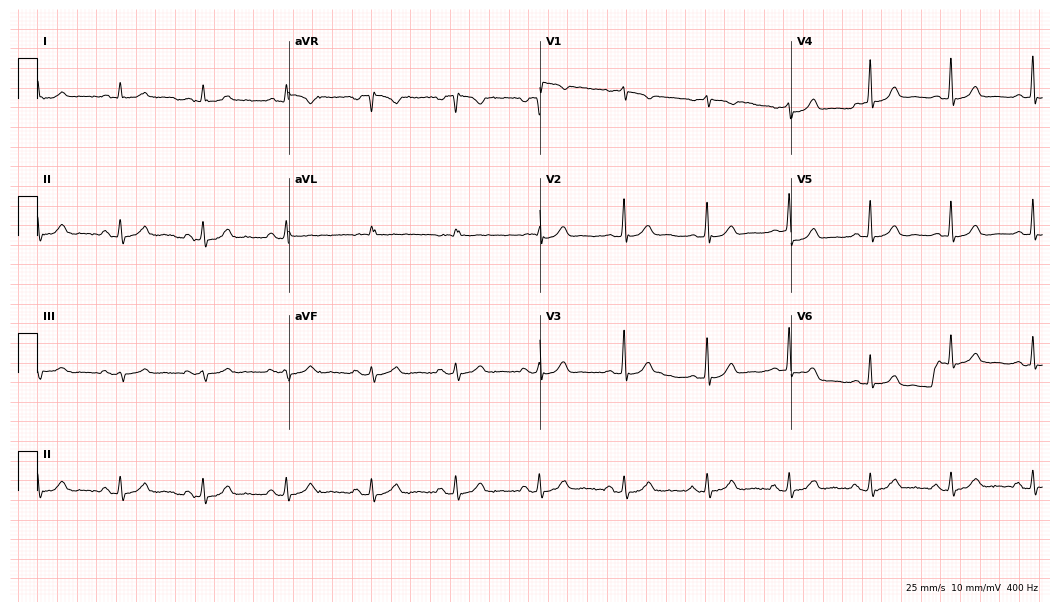
Resting 12-lead electrocardiogram. Patient: a 60-year-old female. Read as a normal ECG.